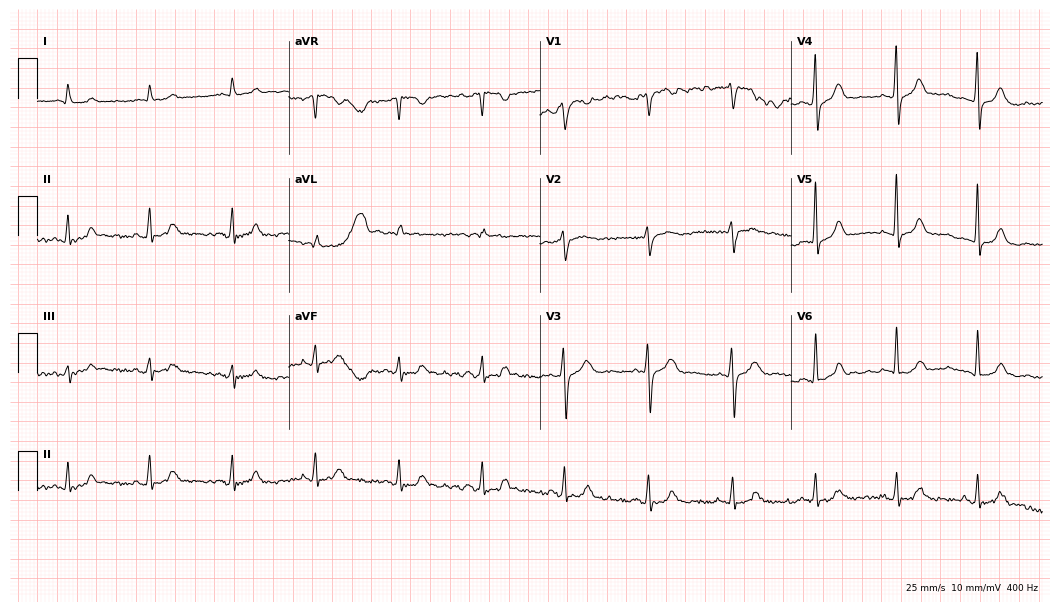
Electrocardiogram, a 72-year-old male. Overall reading on record: normal ECG.